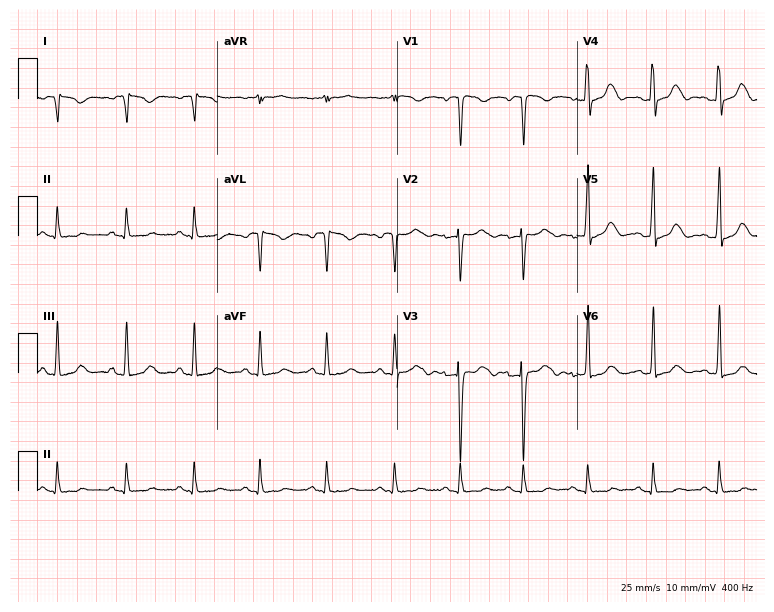
Standard 12-lead ECG recorded from a 34-year-old female patient. None of these six findings is recorded: first-degree AV block, right bundle branch block, left bundle branch block, sinus bradycardia, atrial fibrillation, sinus tachycardia.